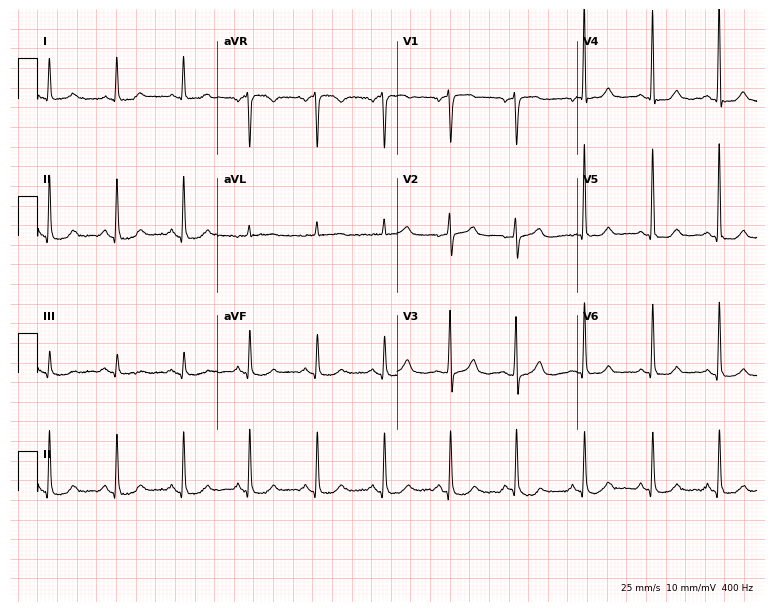
Standard 12-lead ECG recorded from a woman, 75 years old (7.3-second recording at 400 Hz). Read as a normal ECG.